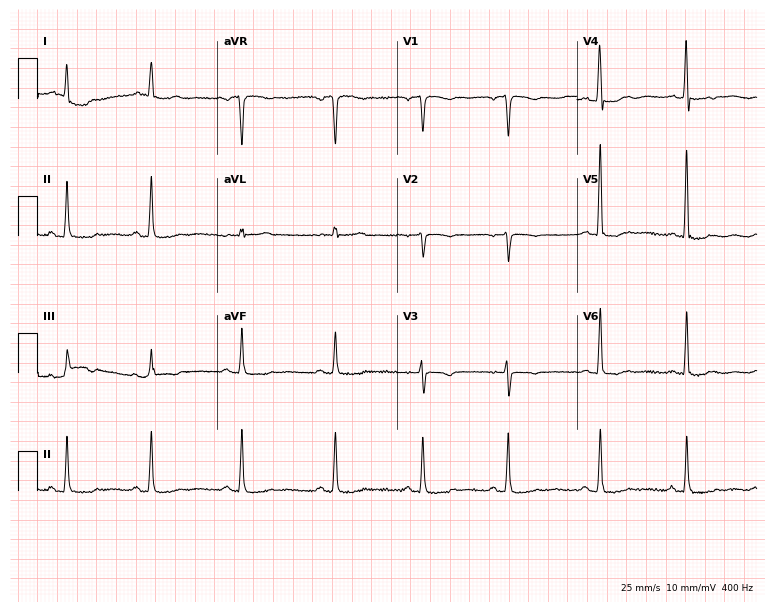
ECG (7.3-second recording at 400 Hz) — a female, 64 years old. Labelled as a normal ECG.